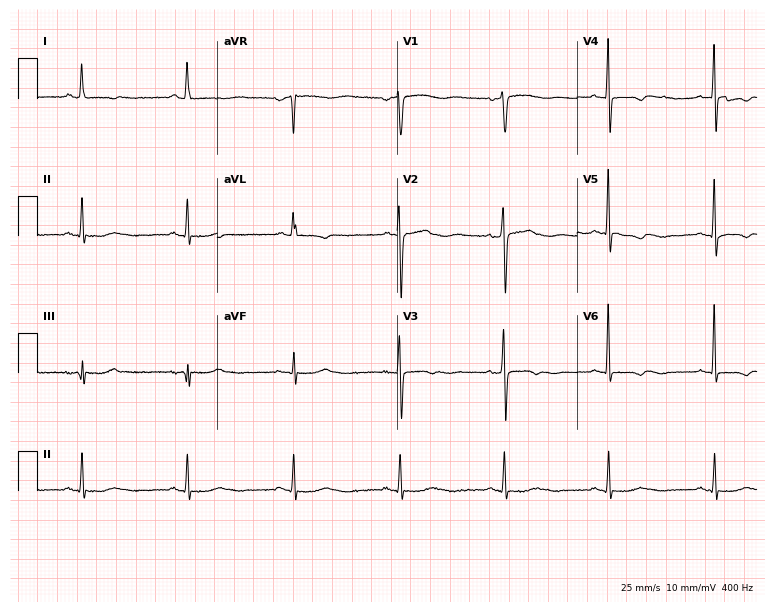
Resting 12-lead electrocardiogram. Patient: a female, 65 years old. None of these six findings is recorded: first-degree AV block, right bundle branch block, left bundle branch block, sinus bradycardia, atrial fibrillation, sinus tachycardia. Only these six findings were labelled.